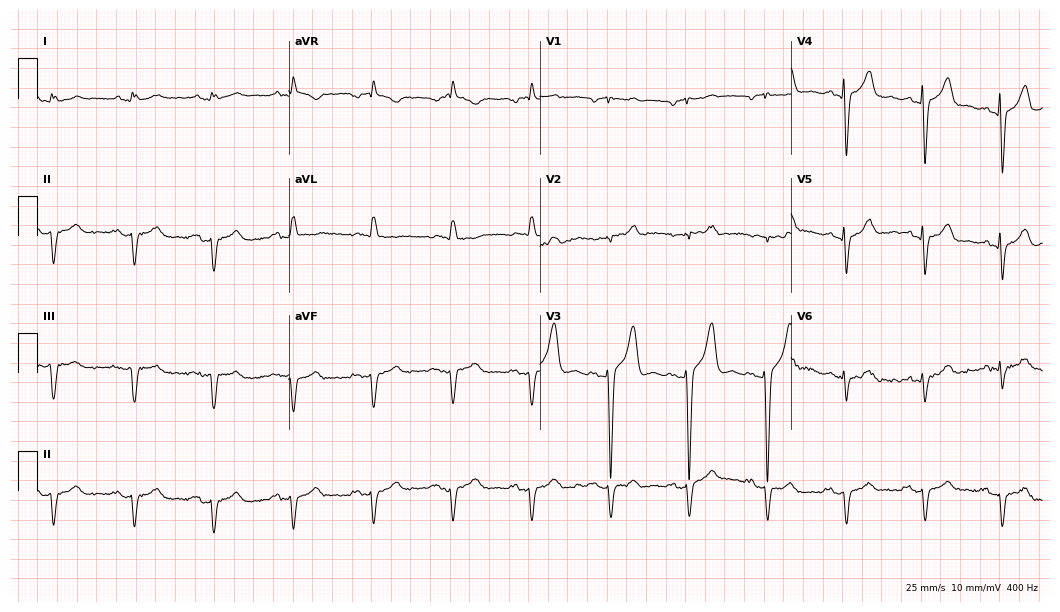
Resting 12-lead electrocardiogram. Patient: a male, 78 years old. None of these six findings is recorded: first-degree AV block, right bundle branch block, left bundle branch block, sinus bradycardia, atrial fibrillation, sinus tachycardia.